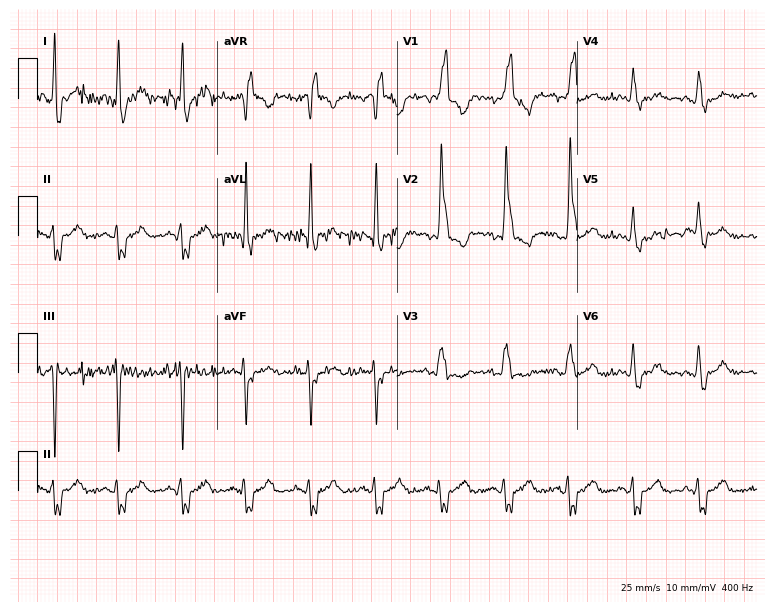
12-lead ECG from a male, 61 years old (7.3-second recording at 400 Hz). No first-degree AV block, right bundle branch block (RBBB), left bundle branch block (LBBB), sinus bradycardia, atrial fibrillation (AF) or sinus tachycardia recorded for this tracing.